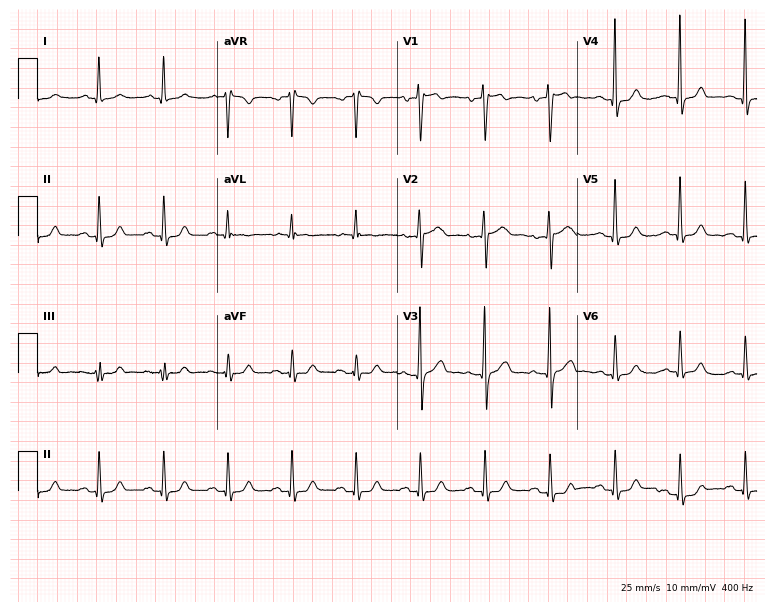
Resting 12-lead electrocardiogram (7.3-second recording at 400 Hz). Patient: a male, 48 years old. None of these six findings is recorded: first-degree AV block, right bundle branch block (RBBB), left bundle branch block (LBBB), sinus bradycardia, atrial fibrillation (AF), sinus tachycardia. Only these six findings were labelled.